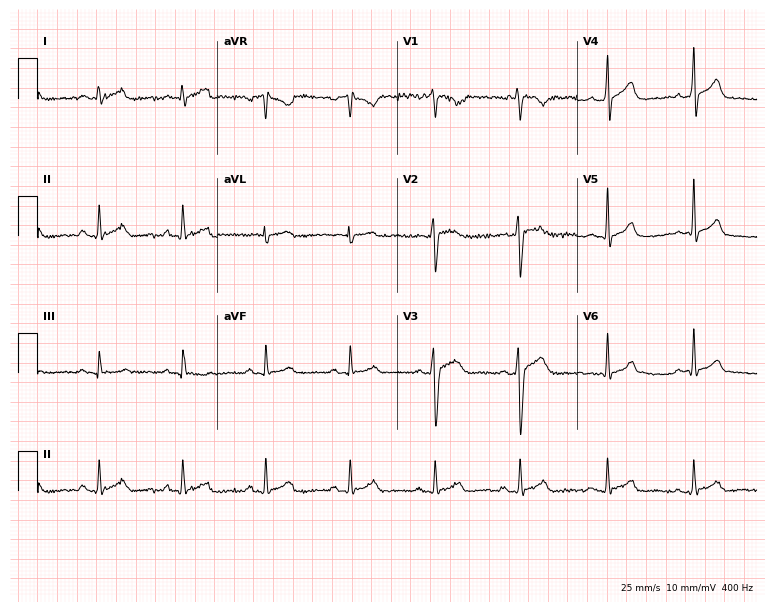
12-lead ECG from a 31-year-old male. Screened for six findings — first-degree AV block, right bundle branch block, left bundle branch block, sinus bradycardia, atrial fibrillation, sinus tachycardia — none is recorded. Other findings, if any, are not listed.